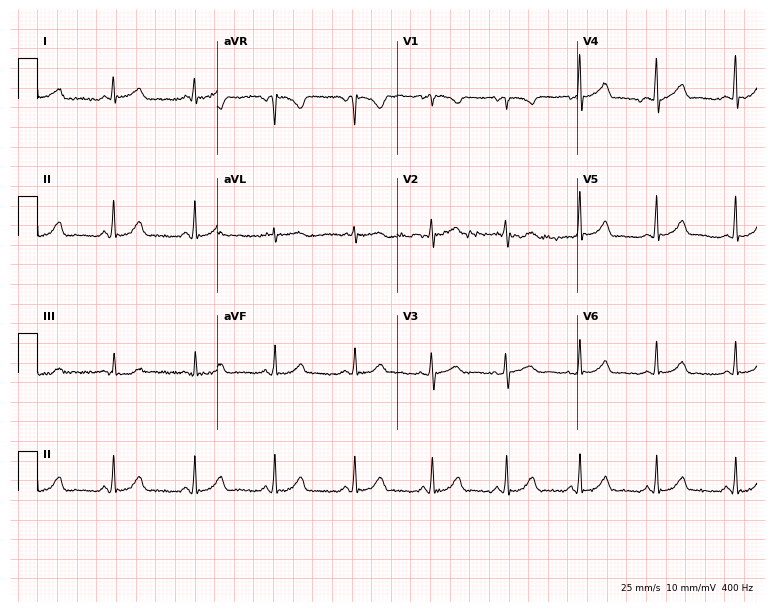
Standard 12-lead ECG recorded from a female, 56 years old (7.3-second recording at 400 Hz). Read as a normal ECG.